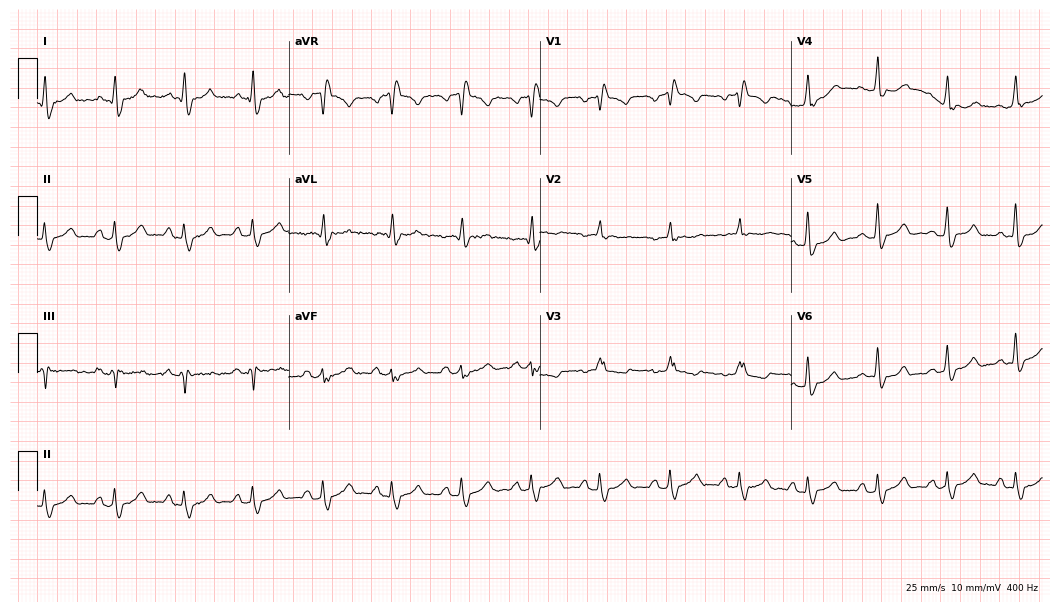
Resting 12-lead electrocardiogram. Patient: a 49-year-old female. The tracing shows right bundle branch block (RBBB).